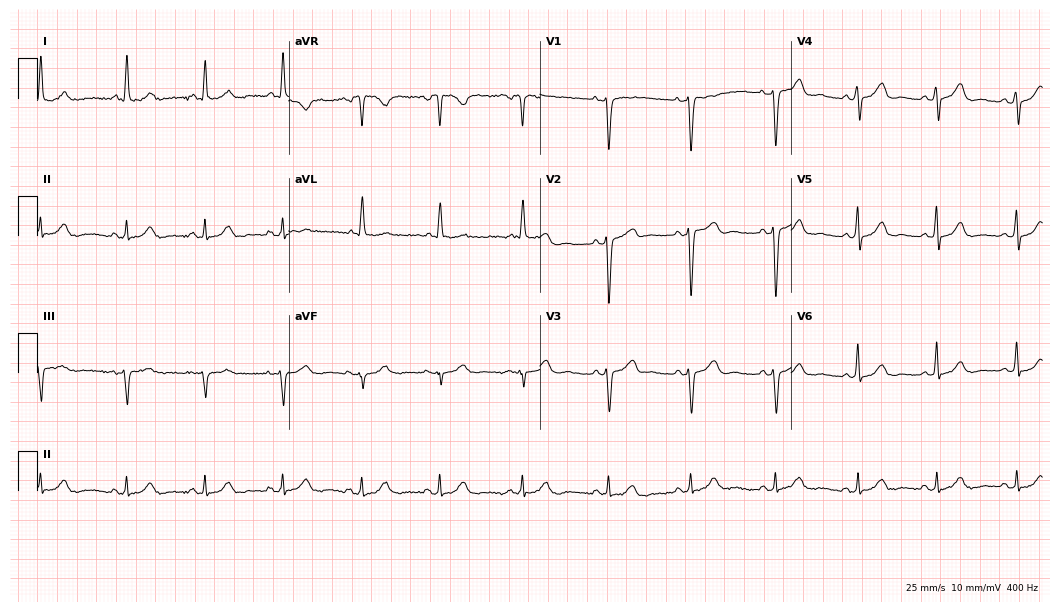
Electrocardiogram, a woman, 49 years old. Of the six screened findings (first-degree AV block, right bundle branch block (RBBB), left bundle branch block (LBBB), sinus bradycardia, atrial fibrillation (AF), sinus tachycardia), none is recorded. Other findings, if any, are not listed.